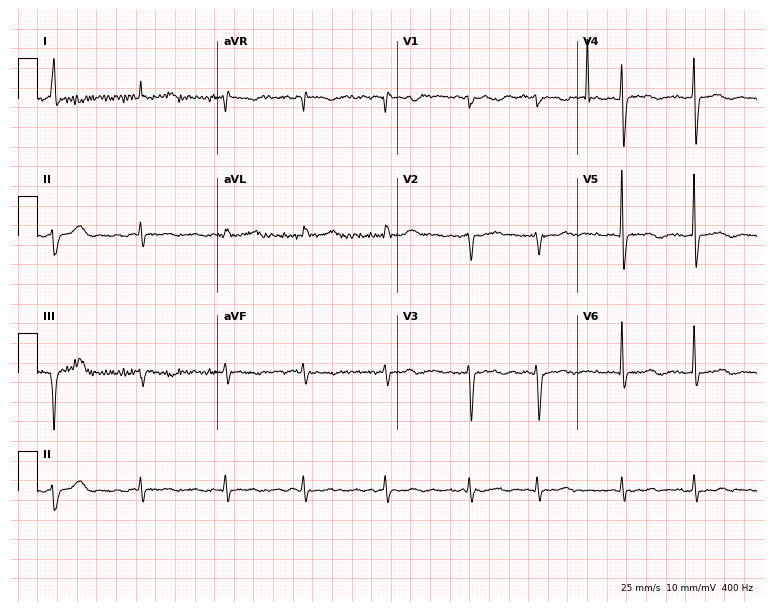
ECG (7.3-second recording at 400 Hz) — an 83-year-old female patient. Findings include atrial fibrillation (AF).